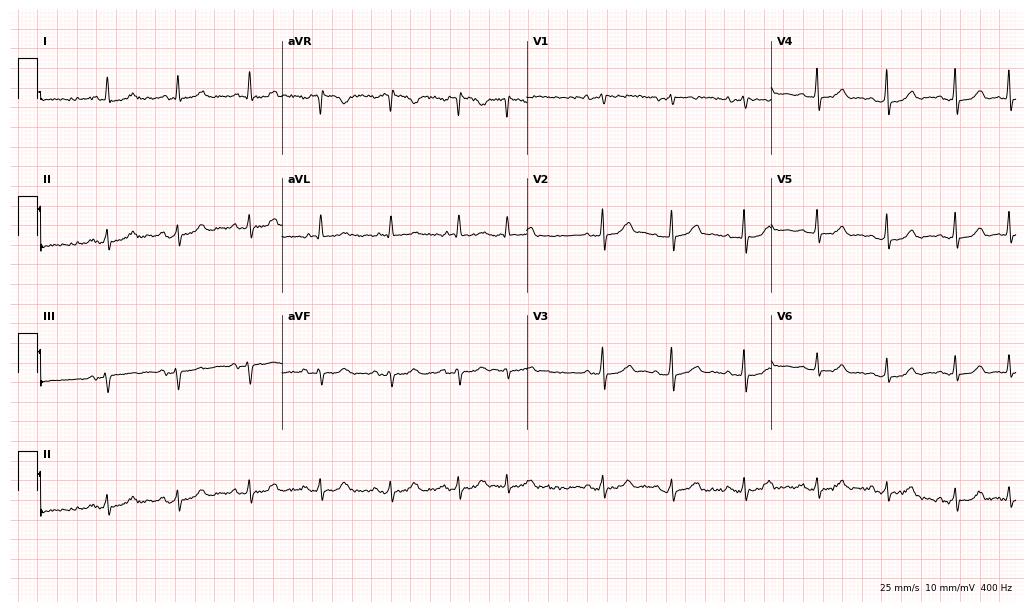
Electrocardiogram (10-second recording at 400 Hz), a female patient, 64 years old. Of the six screened findings (first-degree AV block, right bundle branch block, left bundle branch block, sinus bradycardia, atrial fibrillation, sinus tachycardia), none is recorded. Other findings, if any, are not listed.